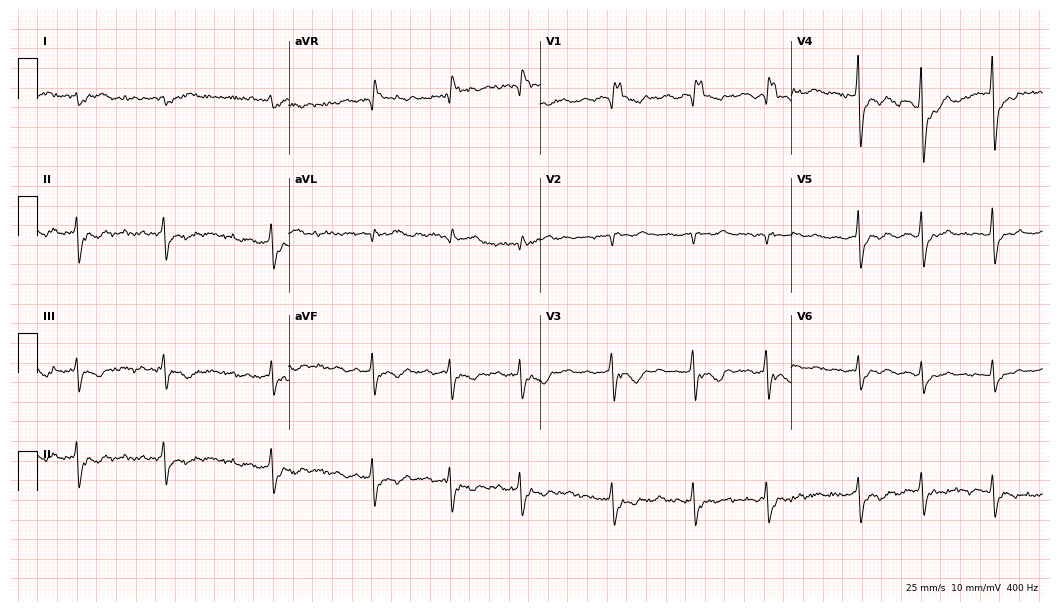
Standard 12-lead ECG recorded from a female patient, 84 years old (10.2-second recording at 400 Hz). None of these six findings is recorded: first-degree AV block, right bundle branch block, left bundle branch block, sinus bradycardia, atrial fibrillation, sinus tachycardia.